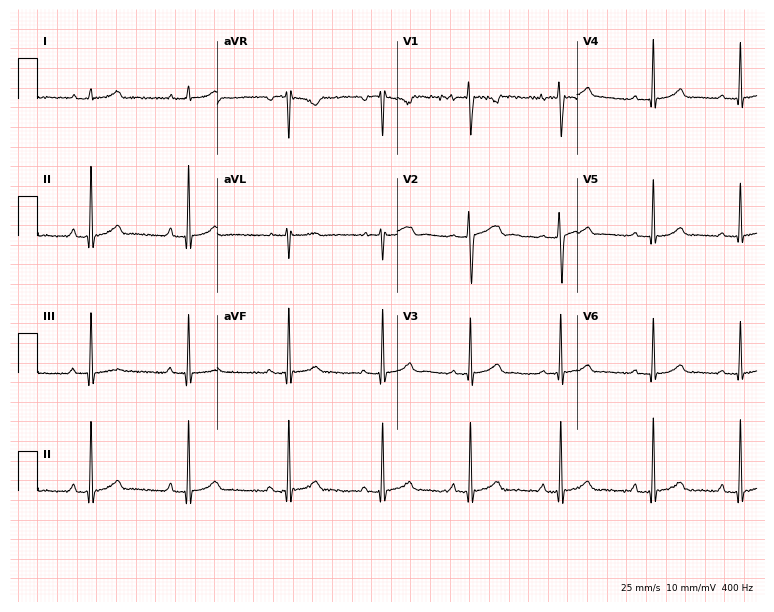
12-lead ECG from a 20-year-old man (7.3-second recording at 400 Hz). Recorded interpretation: within normal limits.